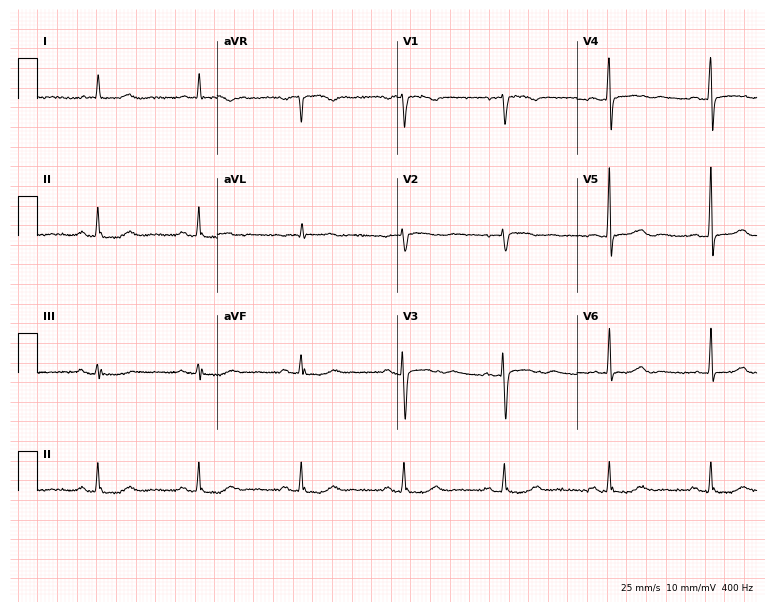
Standard 12-lead ECG recorded from a female patient, 78 years old. None of these six findings is recorded: first-degree AV block, right bundle branch block (RBBB), left bundle branch block (LBBB), sinus bradycardia, atrial fibrillation (AF), sinus tachycardia. Only these six findings were labelled.